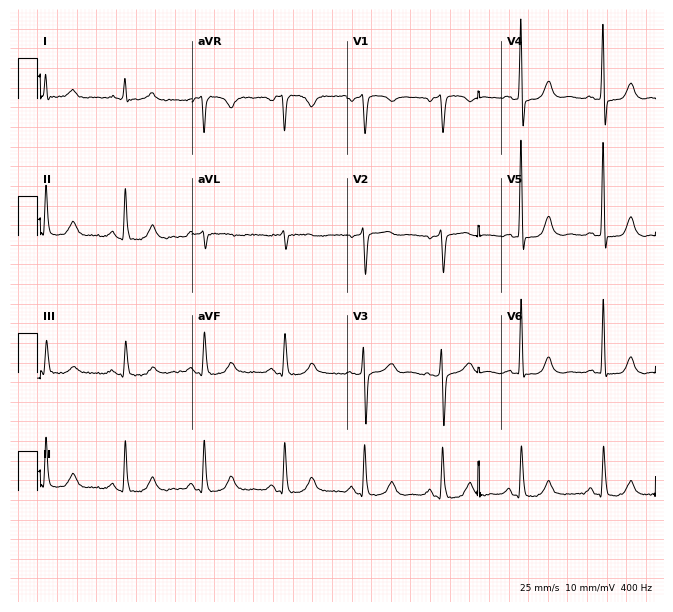
12-lead ECG from a female, 70 years old (6.3-second recording at 400 Hz). No first-degree AV block, right bundle branch block, left bundle branch block, sinus bradycardia, atrial fibrillation or sinus tachycardia recorded for this tracing. Findings outside these six are not listed.